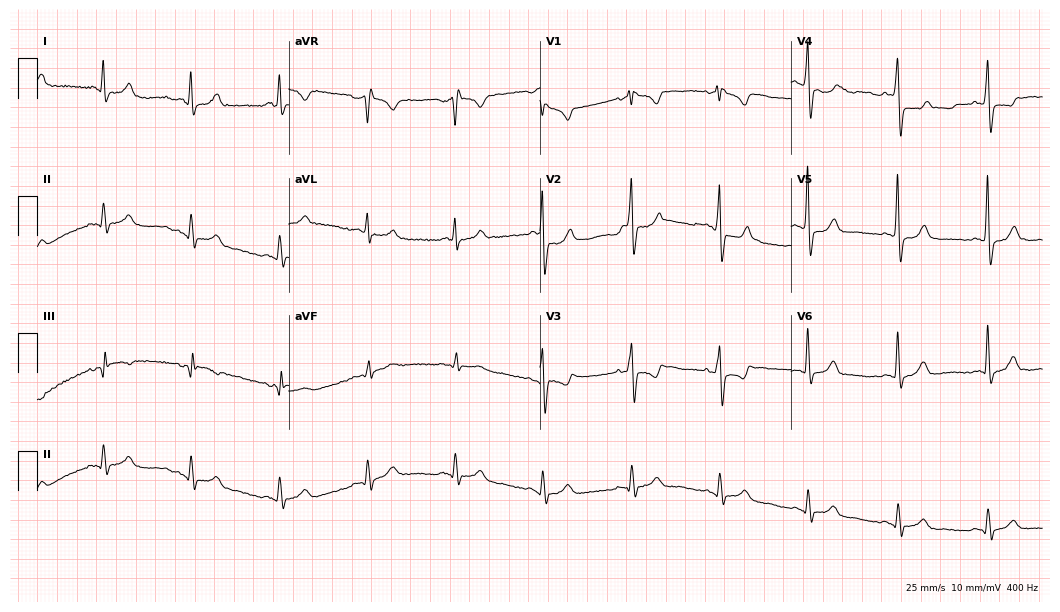
Standard 12-lead ECG recorded from a male patient, 62 years old. None of these six findings is recorded: first-degree AV block, right bundle branch block (RBBB), left bundle branch block (LBBB), sinus bradycardia, atrial fibrillation (AF), sinus tachycardia. Only these six findings were labelled.